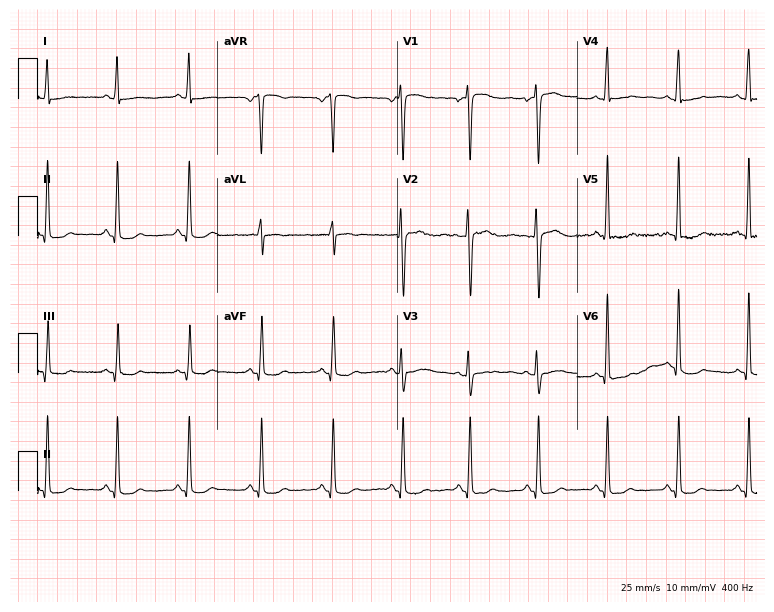
ECG (7.3-second recording at 400 Hz) — a female patient, 30 years old. Screened for six findings — first-degree AV block, right bundle branch block (RBBB), left bundle branch block (LBBB), sinus bradycardia, atrial fibrillation (AF), sinus tachycardia — none is recorded. Findings outside these six are not listed.